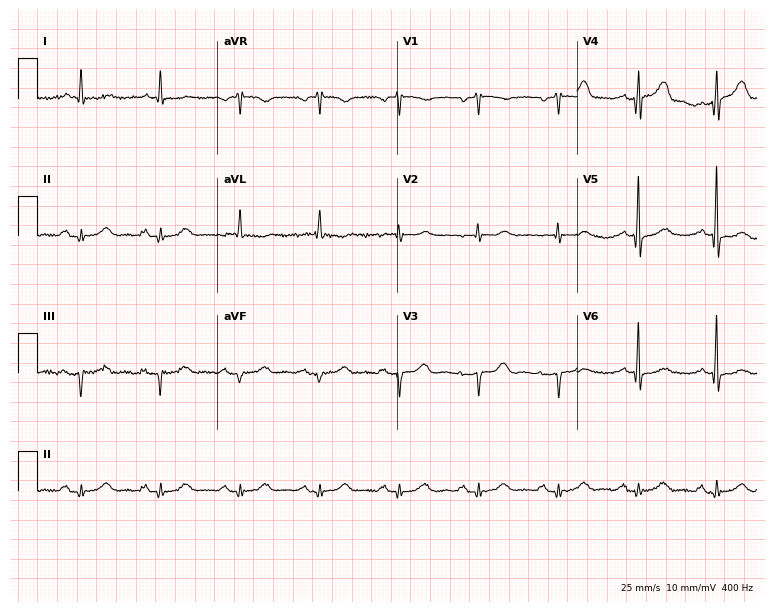
12-lead ECG (7.3-second recording at 400 Hz) from a 76-year-old female patient. Screened for six findings — first-degree AV block, right bundle branch block (RBBB), left bundle branch block (LBBB), sinus bradycardia, atrial fibrillation (AF), sinus tachycardia — none is recorded. Other findings, if any, are not listed.